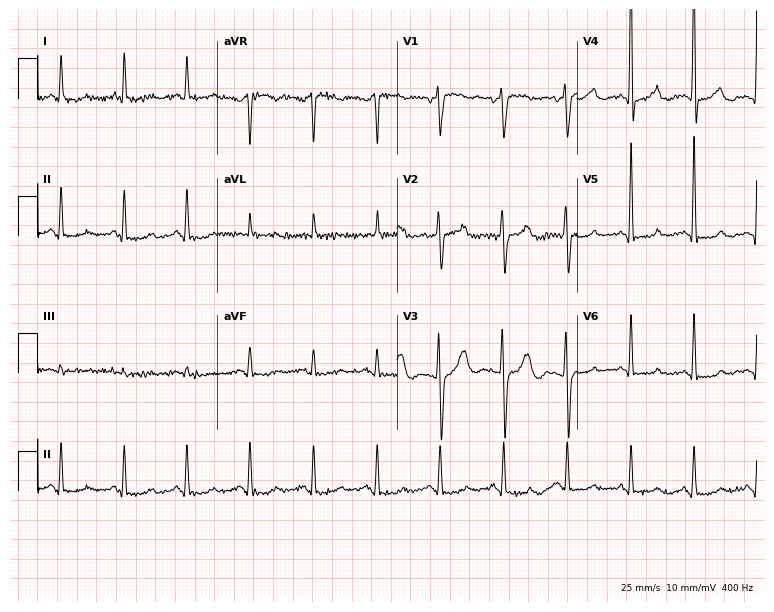
Electrocardiogram (7.3-second recording at 400 Hz), a 66-year-old male. Of the six screened findings (first-degree AV block, right bundle branch block, left bundle branch block, sinus bradycardia, atrial fibrillation, sinus tachycardia), none is recorded. Findings outside these six are not listed.